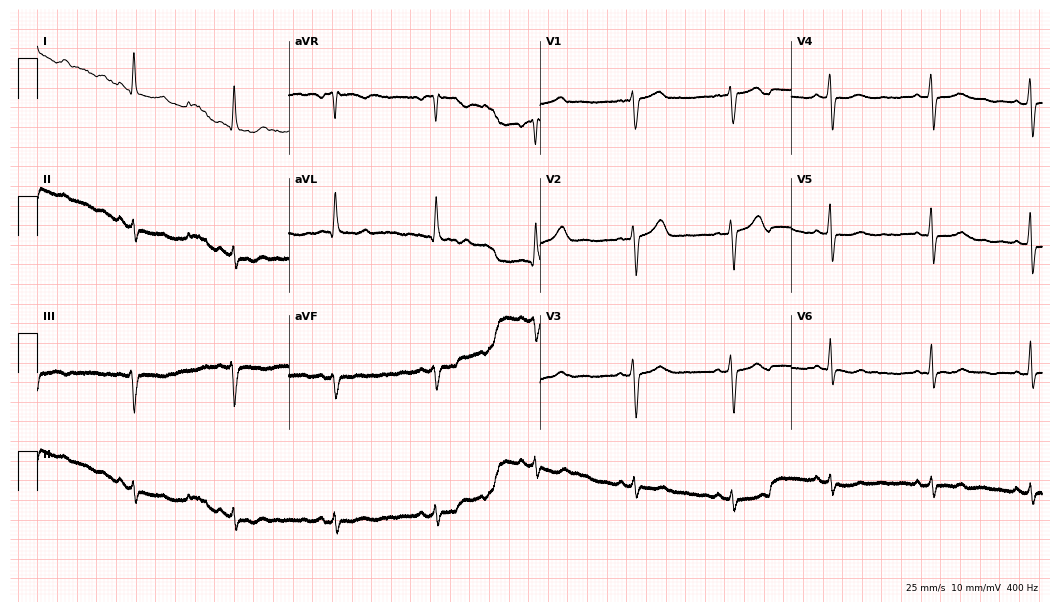
12-lead ECG from a woman, 55 years old. Screened for six findings — first-degree AV block, right bundle branch block, left bundle branch block, sinus bradycardia, atrial fibrillation, sinus tachycardia — none is recorded.